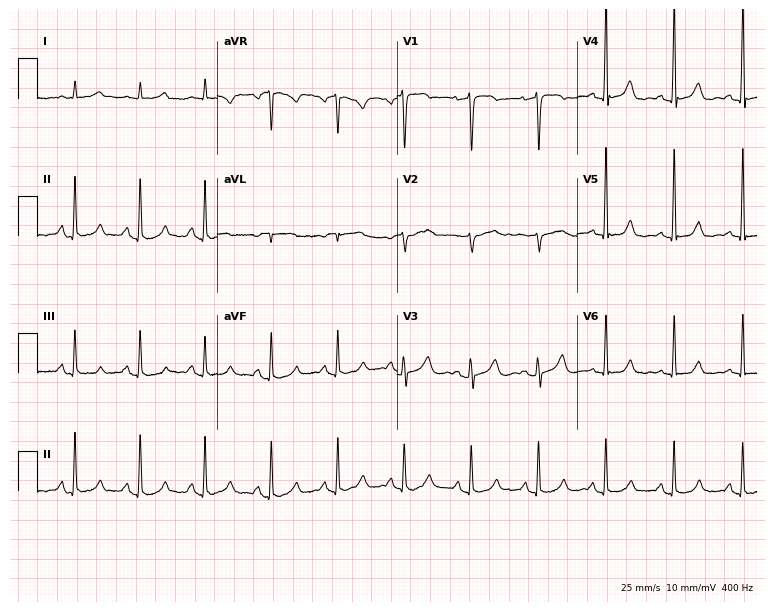
Standard 12-lead ECG recorded from a 76-year-old woman (7.3-second recording at 400 Hz). Read as a normal ECG.